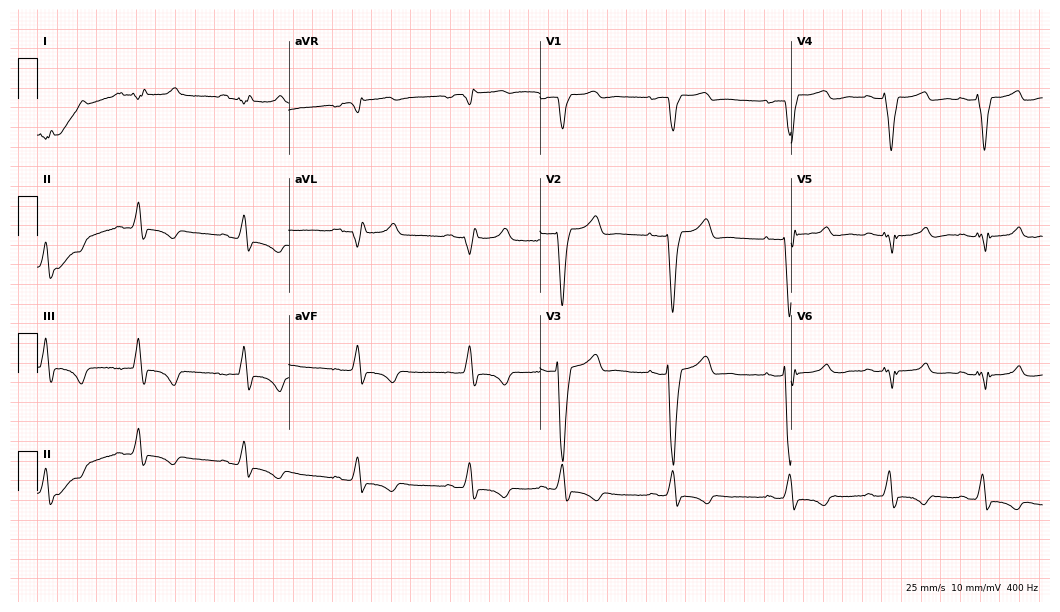
Standard 12-lead ECG recorded from a female, 45 years old. The tracing shows first-degree AV block, left bundle branch block.